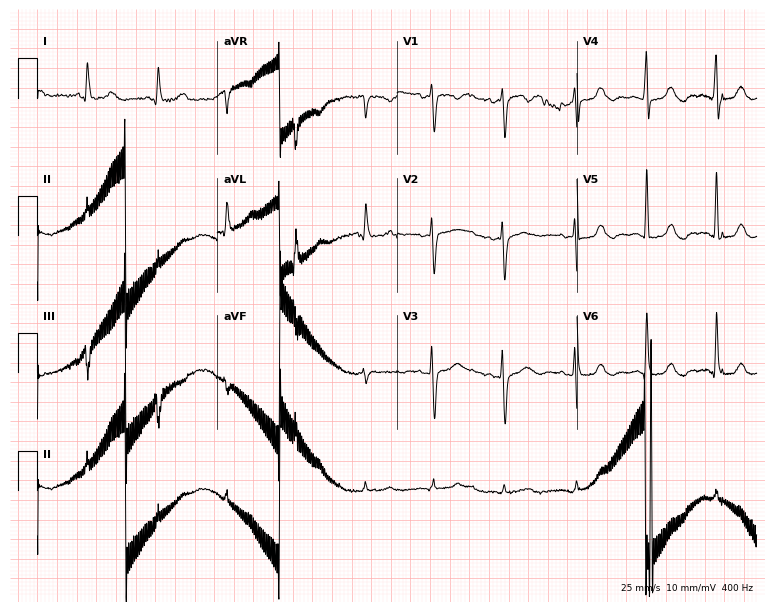
Resting 12-lead electrocardiogram (7.3-second recording at 400 Hz). Patient: a woman, 63 years old. Read as a normal ECG.